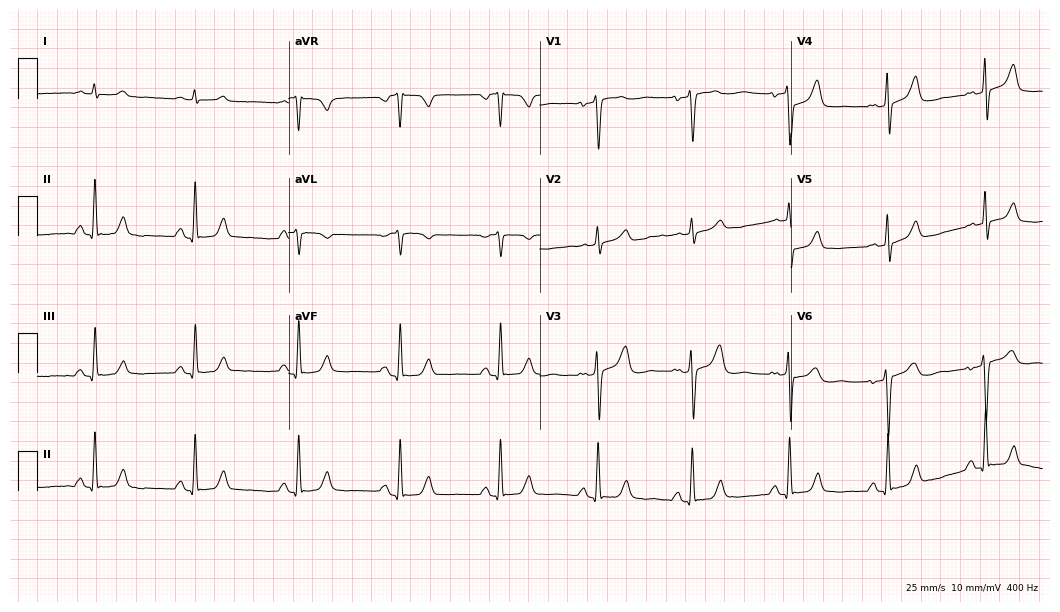
12-lead ECG (10.2-second recording at 400 Hz) from a male patient, 59 years old. Screened for six findings — first-degree AV block, right bundle branch block, left bundle branch block, sinus bradycardia, atrial fibrillation, sinus tachycardia — none is recorded. Only these six findings were labelled.